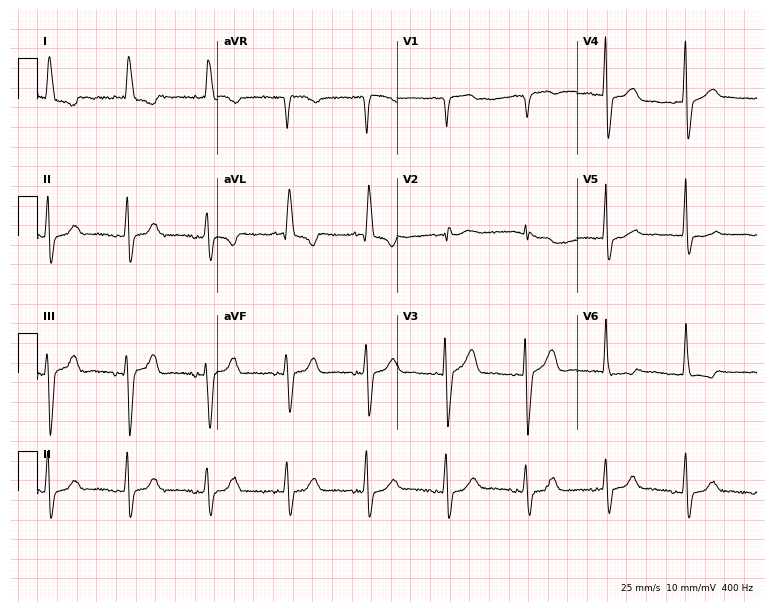
Resting 12-lead electrocardiogram (7.3-second recording at 400 Hz). Patient: an 83-year-old female. The tracing shows atrial fibrillation.